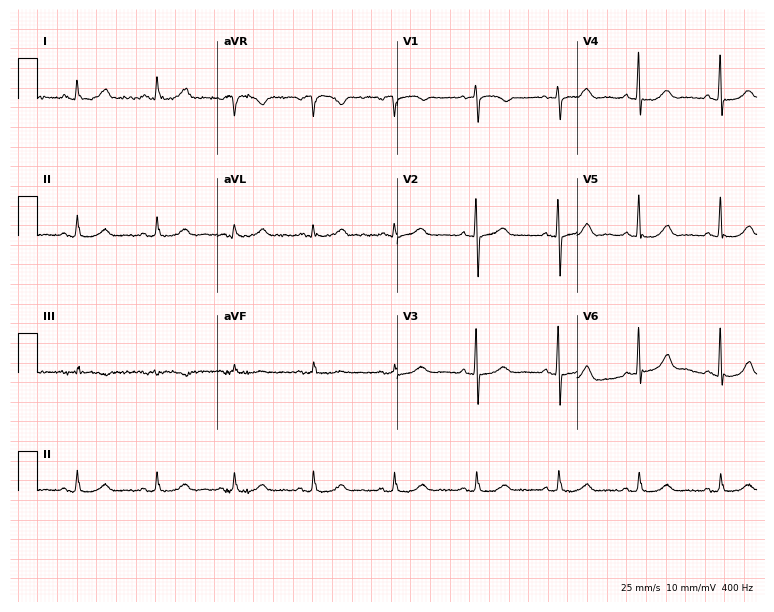
12-lead ECG from a man, 68 years old. Recorded interpretation: within normal limits.